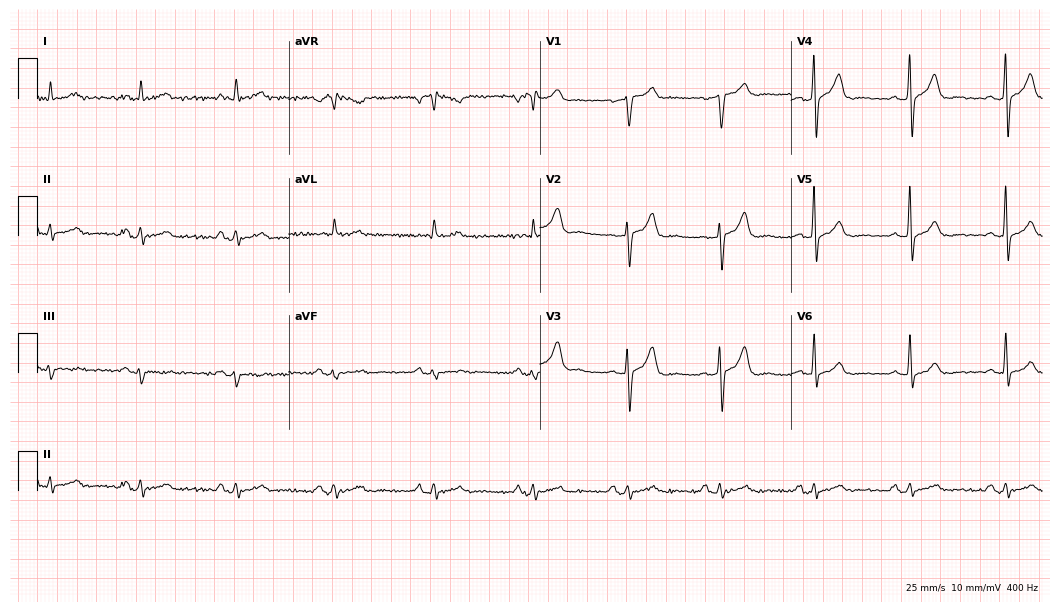
ECG — a 46-year-old man. Screened for six findings — first-degree AV block, right bundle branch block, left bundle branch block, sinus bradycardia, atrial fibrillation, sinus tachycardia — none is recorded. Findings outside these six are not listed.